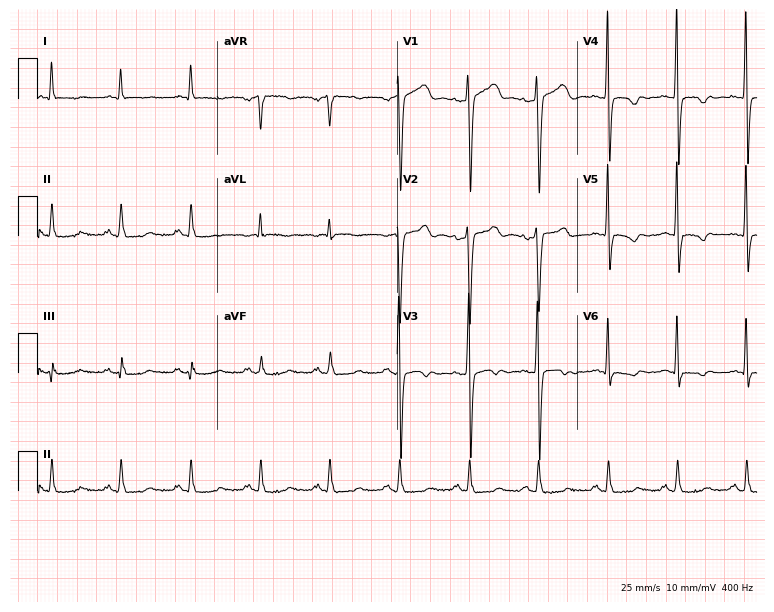
ECG (7.3-second recording at 400 Hz) — a 63-year-old male. Screened for six findings — first-degree AV block, right bundle branch block, left bundle branch block, sinus bradycardia, atrial fibrillation, sinus tachycardia — none is recorded. Findings outside these six are not listed.